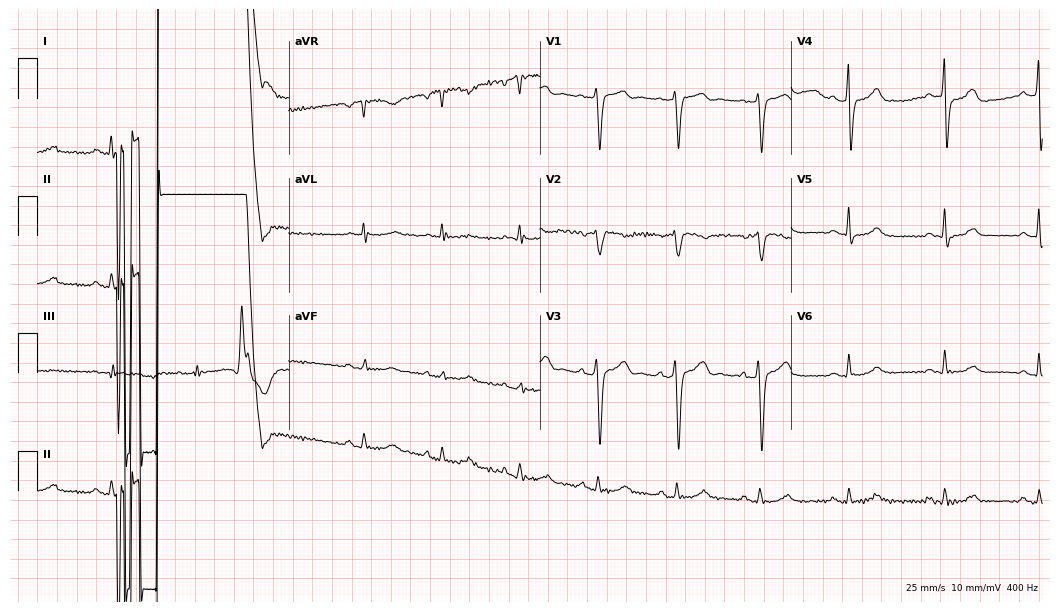
ECG — a 46-year-old male patient. Screened for six findings — first-degree AV block, right bundle branch block, left bundle branch block, sinus bradycardia, atrial fibrillation, sinus tachycardia — none is recorded.